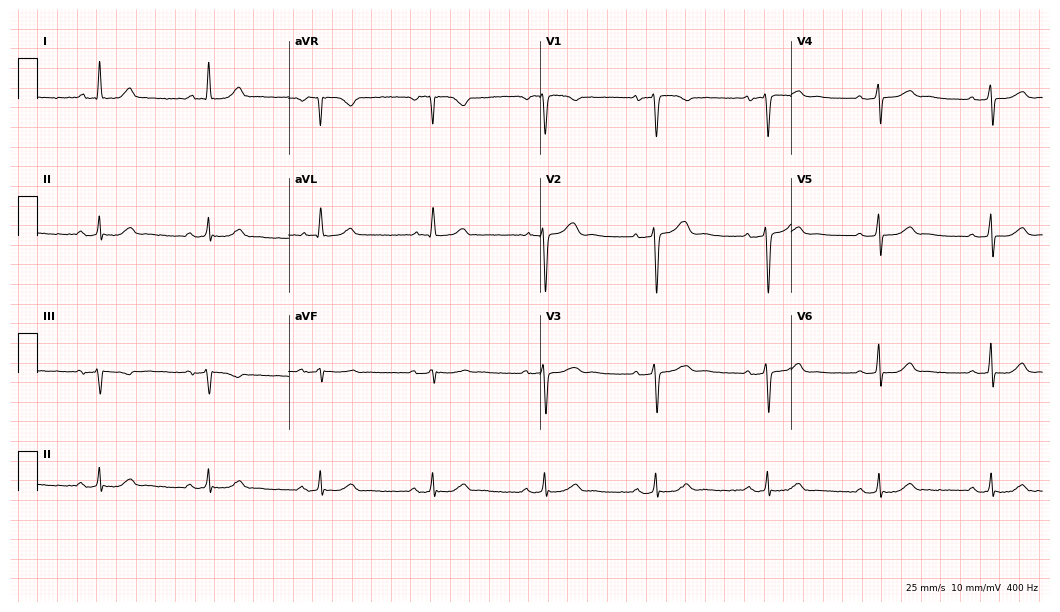
Standard 12-lead ECG recorded from a 51-year-old female (10.2-second recording at 400 Hz). Read as a normal ECG.